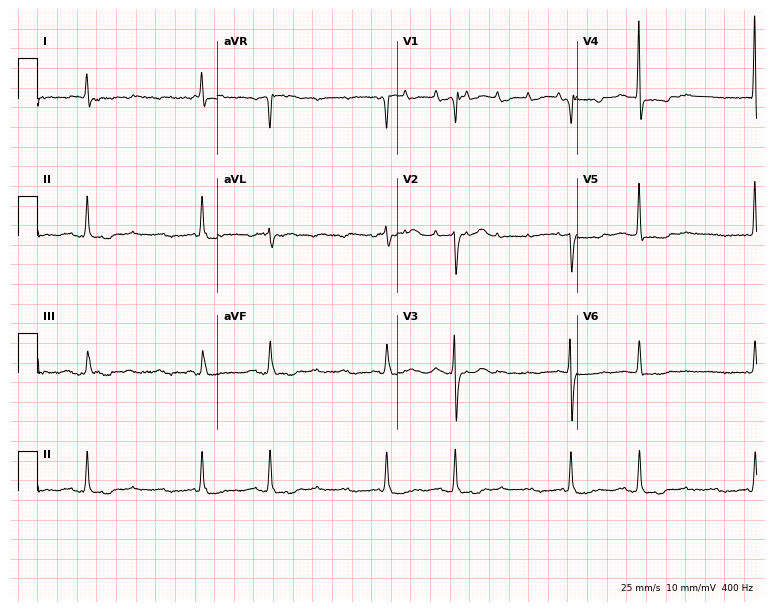
ECG — a female patient, 82 years old. Screened for six findings — first-degree AV block, right bundle branch block, left bundle branch block, sinus bradycardia, atrial fibrillation, sinus tachycardia — none is recorded.